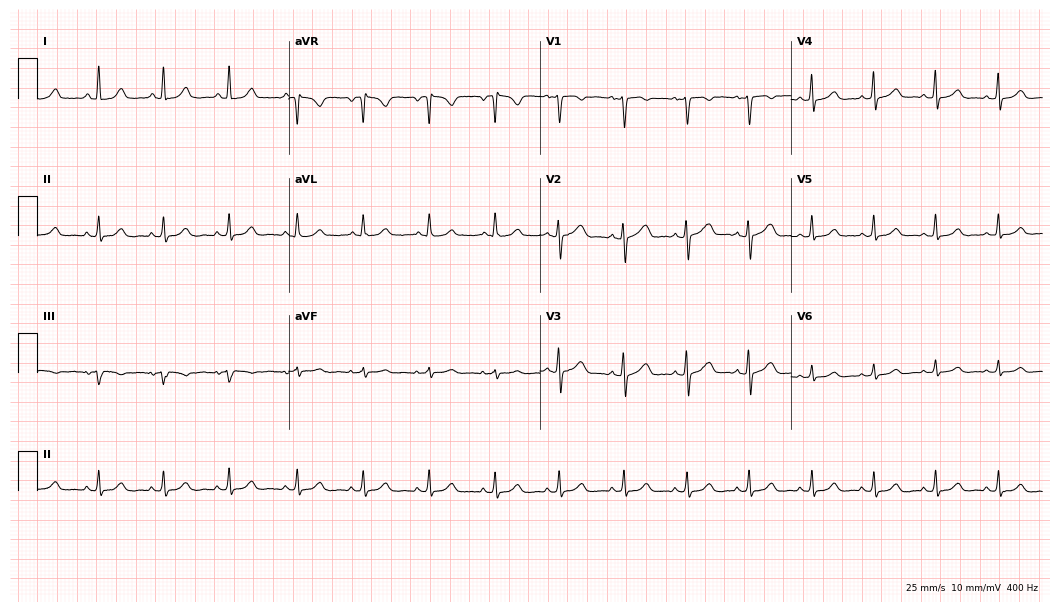
ECG (10.2-second recording at 400 Hz) — a 23-year-old woman. Screened for six findings — first-degree AV block, right bundle branch block, left bundle branch block, sinus bradycardia, atrial fibrillation, sinus tachycardia — none is recorded. Findings outside these six are not listed.